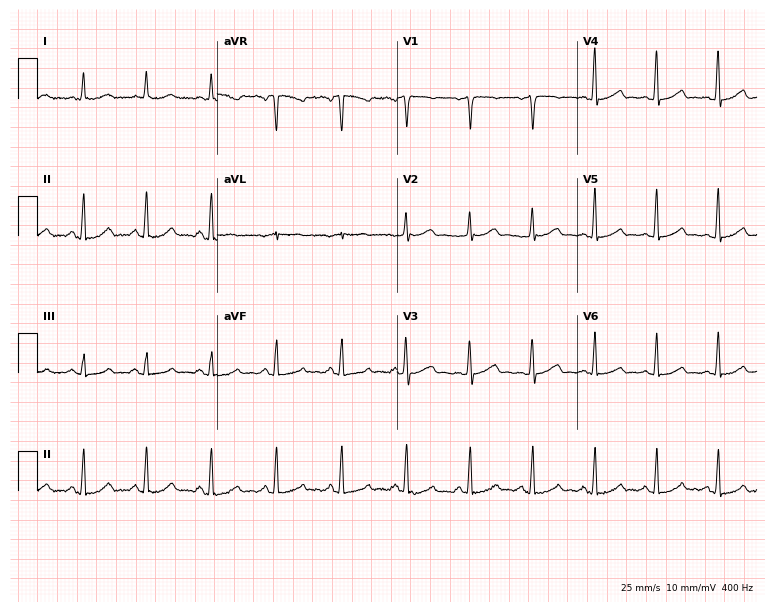
Electrocardiogram, a 43-year-old female. Overall reading on record: normal ECG.